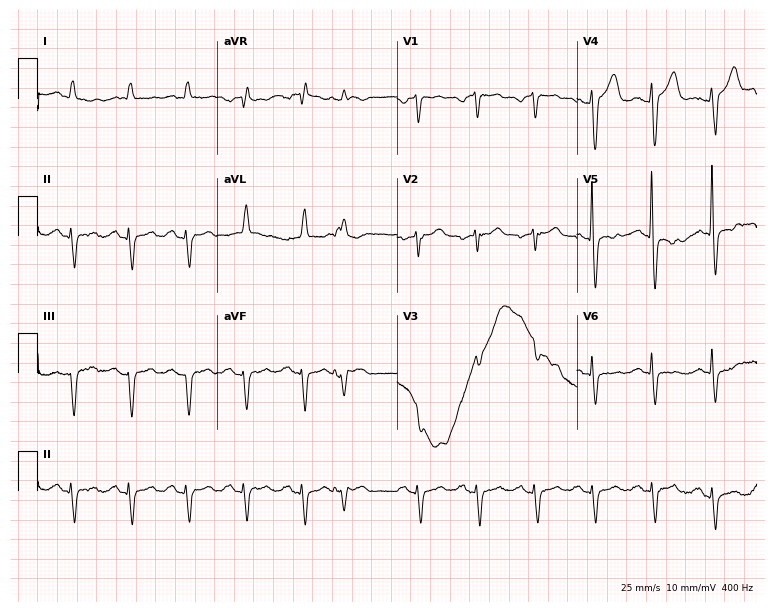
Resting 12-lead electrocardiogram (7.3-second recording at 400 Hz). Patient: a man, 84 years old. The tracing shows sinus tachycardia (a sinus rate of 100 beats per minute or more).